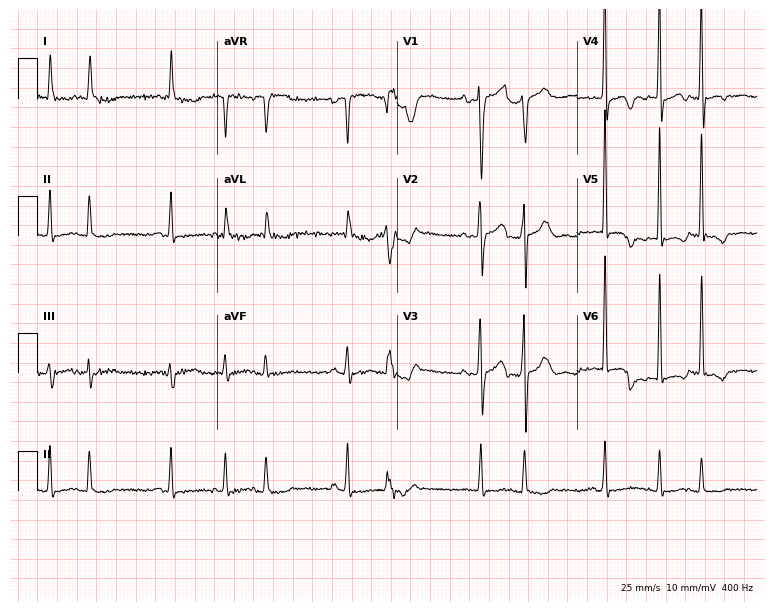
12-lead ECG from a male patient, 87 years old. Screened for six findings — first-degree AV block, right bundle branch block, left bundle branch block, sinus bradycardia, atrial fibrillation, sinus tachycardia — none is recorded.